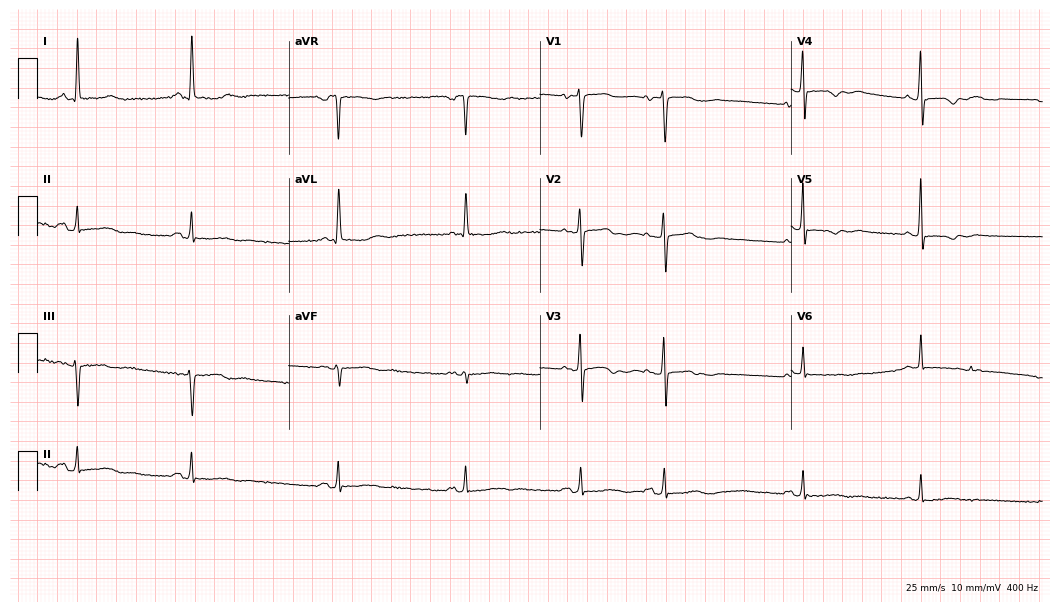
ECG (10.2-second recording at 400 Hz) — a 73-year-old female. Screened for six findings — first-degree AV block, right bundle branch block (RBBB), left bundle branch block (LBBB), sinus bradycardia, atrial fibrillation (AF), sinus tachycardia — none is recorded. Only these six findings were labelled.